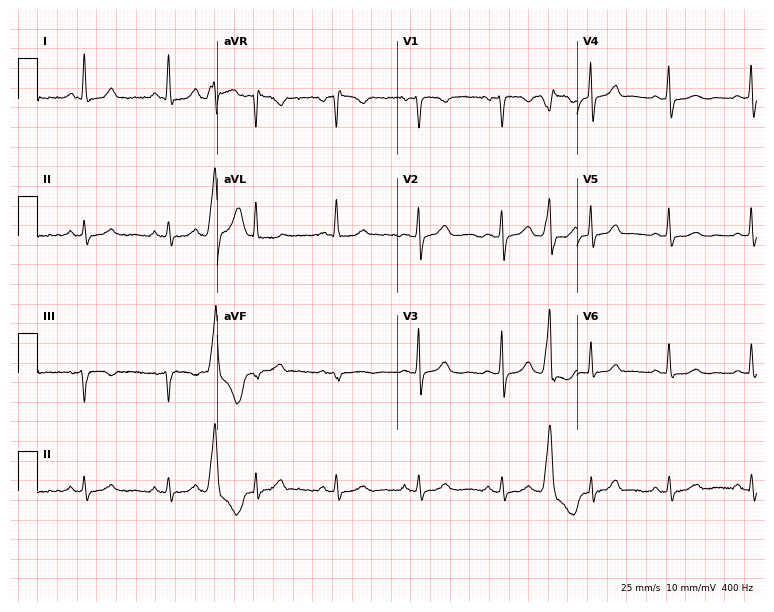
12-lead ECG (7.3-second recording at 400 Hz) from a woman, 54 years old. Screened for six findings — first-degree AV block, right bundle branch block, left bundle branch block, sinus bradycardia, atrial fibrillation, sinus tachycardia — none is recorded.